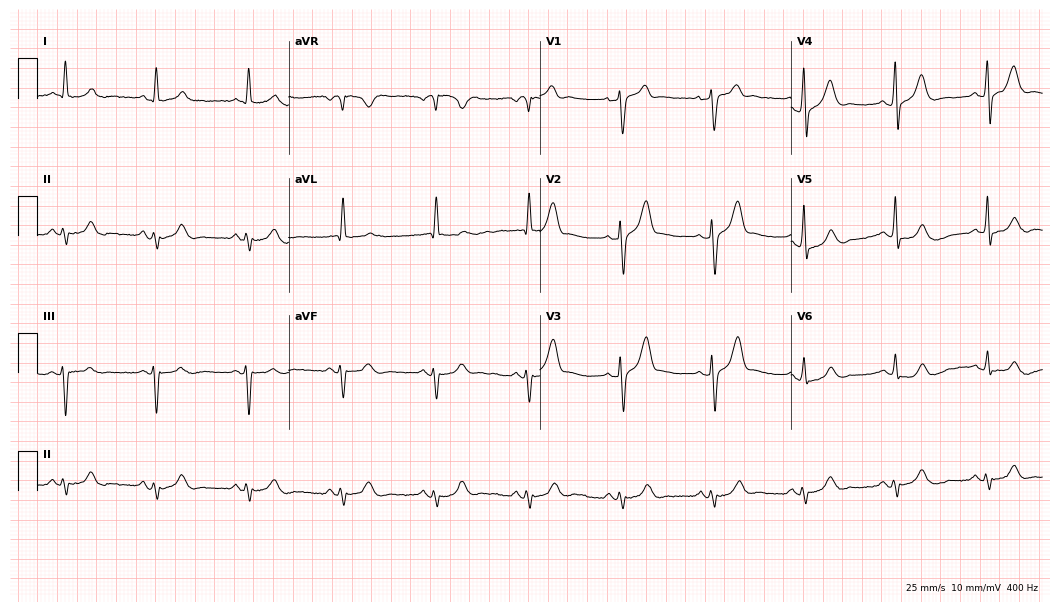
Electrocardiogram, a 68-year-old male patient. Of the six screened findings (first-degree AV block, right bundle branch block (RBBB), left bundle branch block (LBBB), sinus bradycardia, atrial fibrillation (AF), sinus tachycardia), none is recorded.